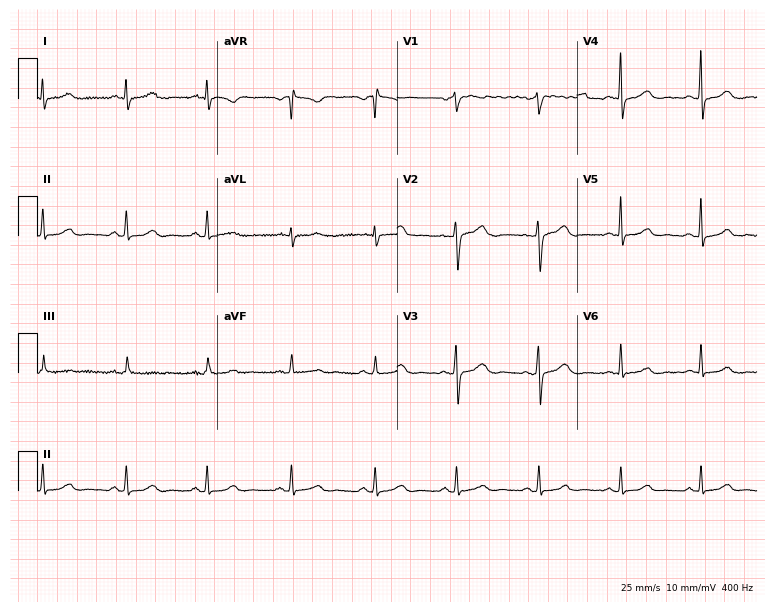
12-lead ECG from a female patient, 55 years old. Recorded interpretation: within normal limits.